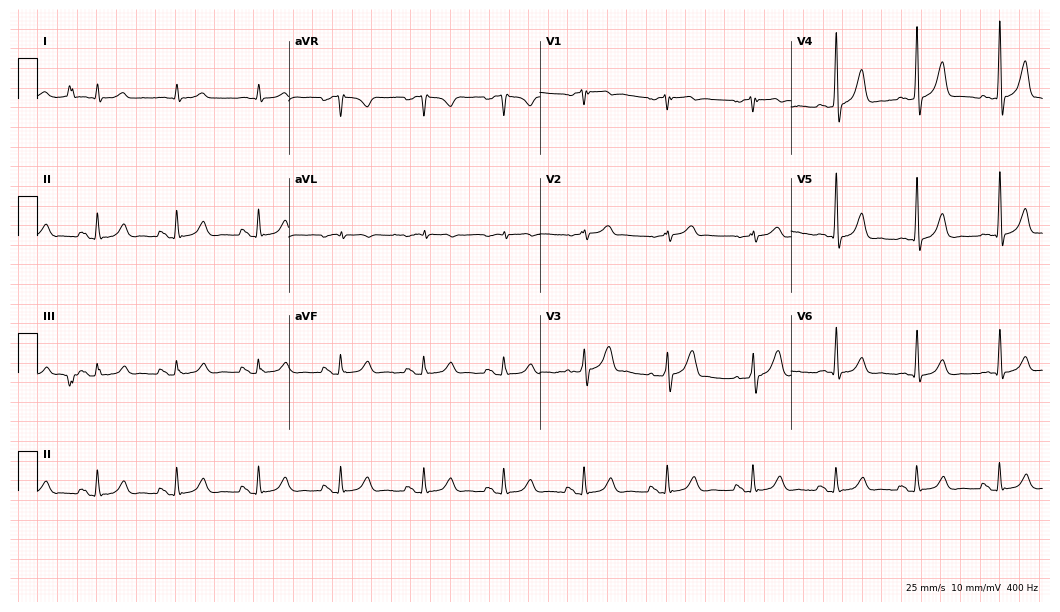
Electrocardiogram, a 65-year-old male. Of the six screened findings (first-degree AV block, right bundle branch block, left bundle branch block, sinus bradycardia, atrial fibrillation, sinus tachycardia), none is recorded. Other findings, if any, are not listed.